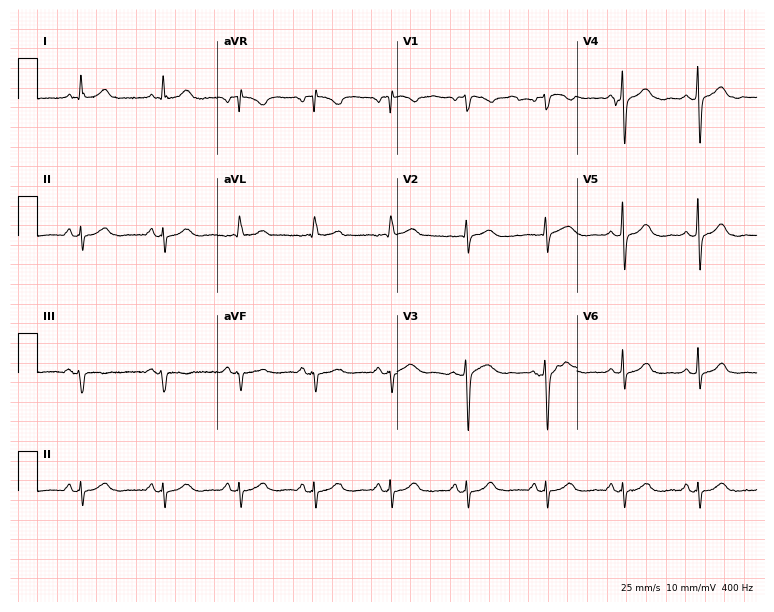
Resting 12-lead electrocardiogram. Patient: a 59-year-old man. None of these six findings is recorded: first-degree AV block, right bundle branch block, left bundle branch block, sinus bradycardia, atrial fibrillation, sinus tachycardia.